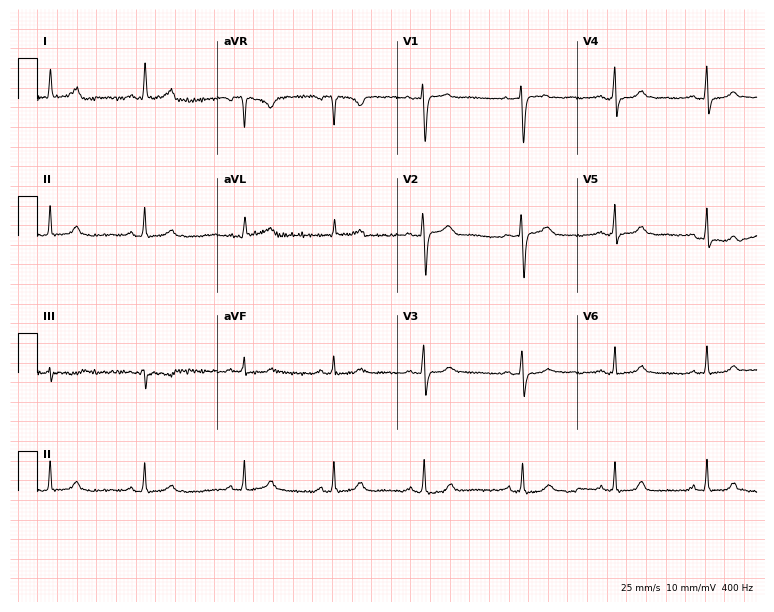
12-lead ECG from a female, 37 years old. Labelled as a normal ECG.